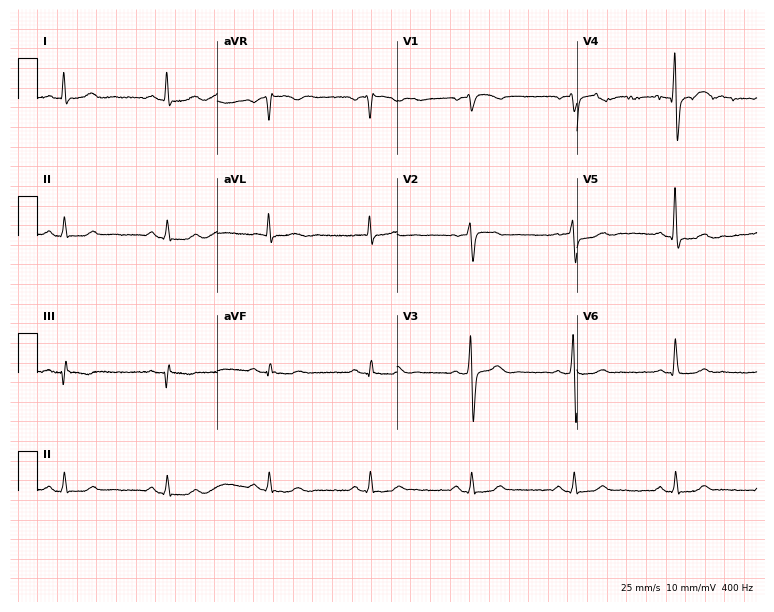
Electrocardiogram, a male, 63 years old. Overall reading on record: normal ECG.